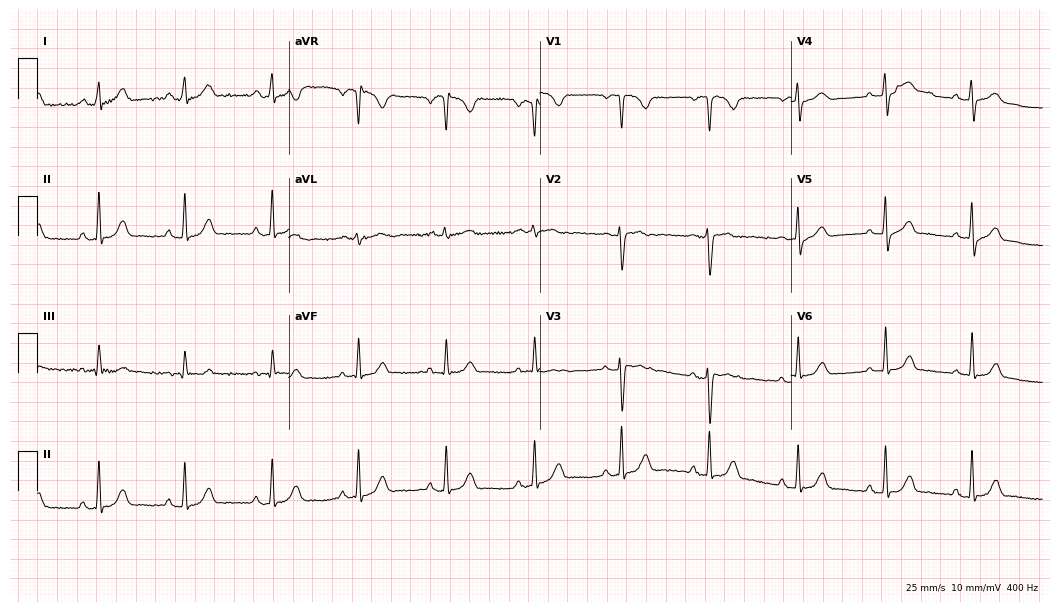
Resting 12-lead electrocardiogram (10.2-second recording at 400 Hz). Patient: a 35-year-old female. Read as a normal ECG.